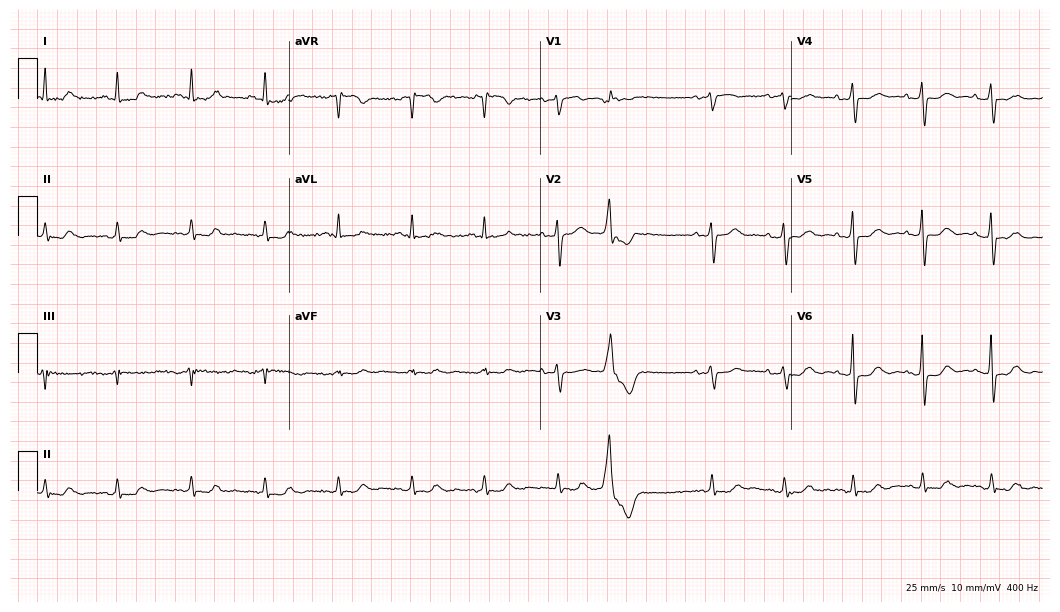
12-lead ECG (10.2-second recording at 400 Hz) from a 57-year-old woman. Screened for six findings — first-degree AV block, right bundle branch block, left bundle branch block, sinus bradycardia, atrial fibrillation, sinus tachycardia — none is recorded. Only these six findings were labelled.